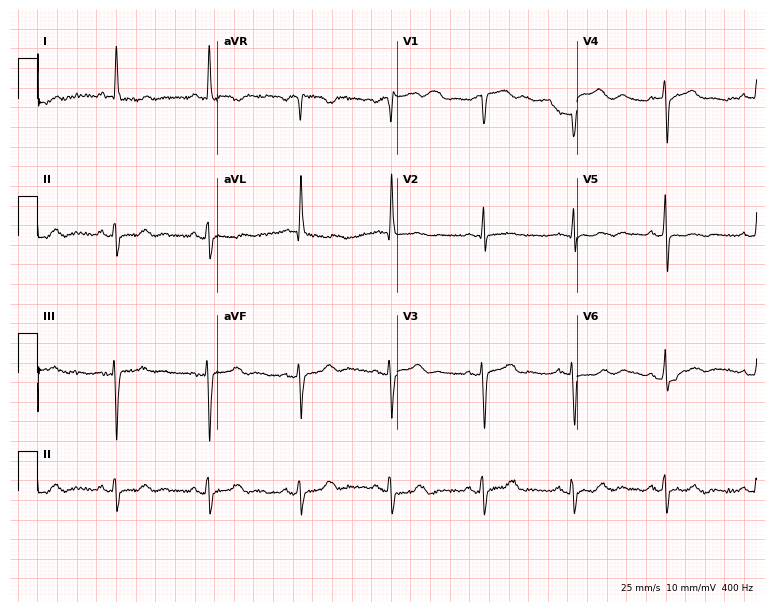
Standard 12-lead ECG recorded from an 81-year-old female patient (7.3-second recording at 400 Hz). None of these six findings is recorded: first-degree AV block, right bundle branch block (RBBB), left bundle branch block (LBBB), sinus bradycardia, atrial fibrillation (AF), sinus tachycardia. Findings outside these six are not listed.